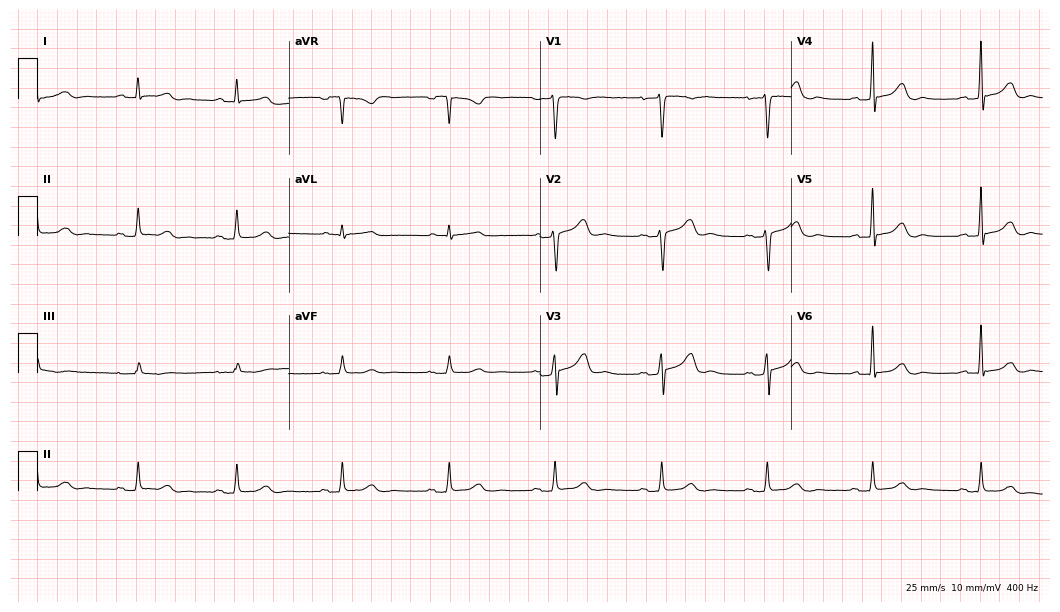
Electrocardiogram (10.2-second recording at 400 Hz), a 42-year-old woman. Of the six screened findings (first-degree AV block, right bundle branch block, left bundle branch block, sinus bradycardia, atrial fibrillation, sinus tachycardia), none is recorded.